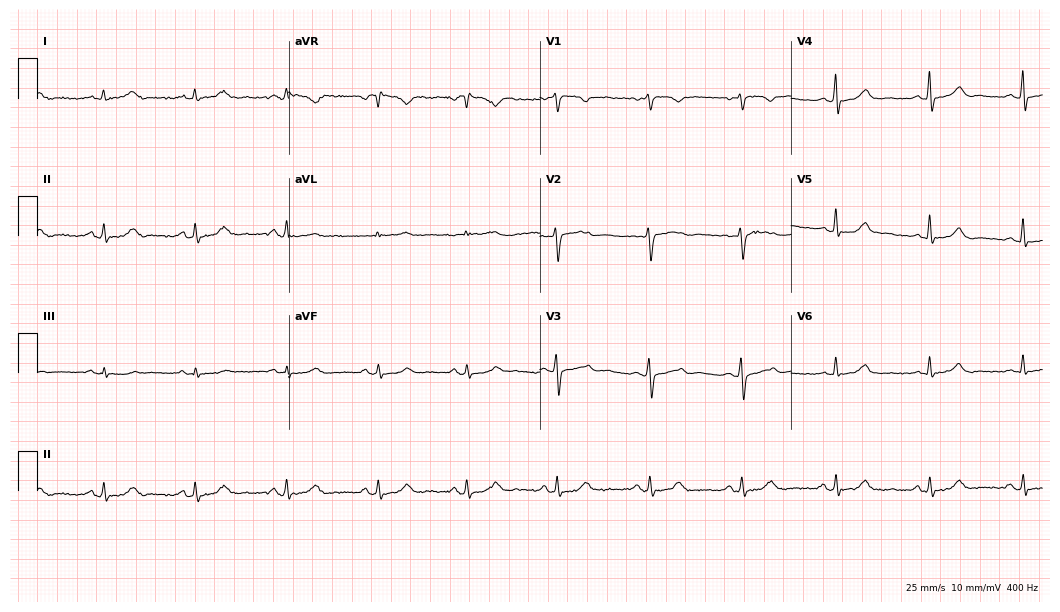
ECG — a 56-year-old female. Labelled as a normal ECG.